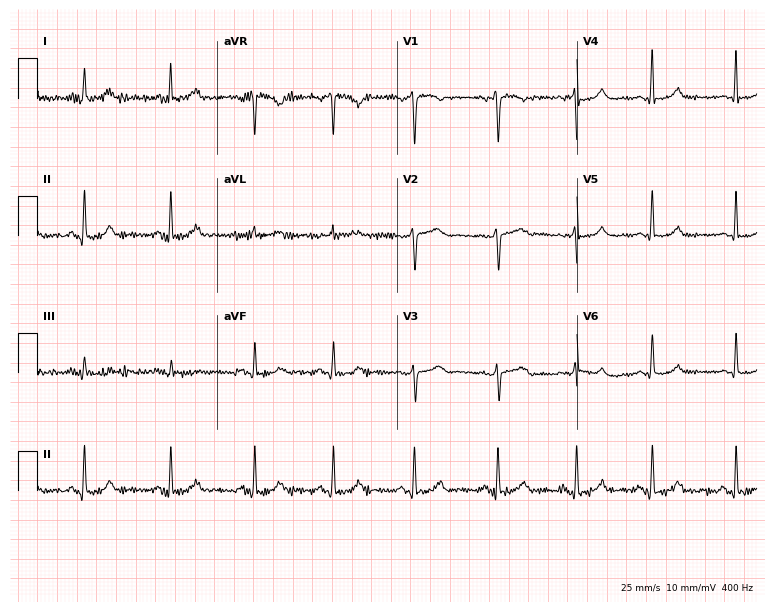
ECG (7.3-second recording at 400 Hz) — a female patient, 45 years old. Labelled as a normal ECG.